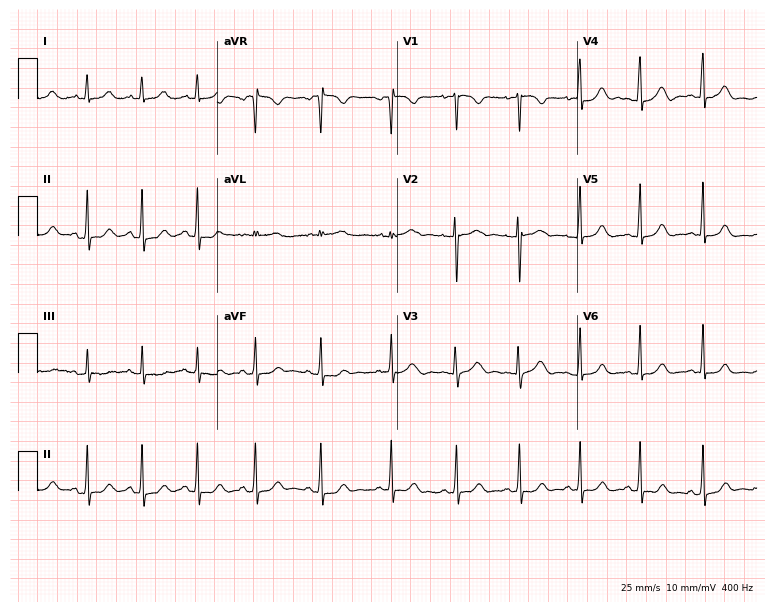
12-lead ECG (7.3-second recording at 400 Hz) from a female patient, 20 years old. Screened for six findings — first-degree AV block, right bundle branch block (RBBB), left bundle branch block (LBBB), sinus bradycardia, atrial fibrillation (AF), sinus tachycardia — none is recorded. Other findings, if any, are not listed.